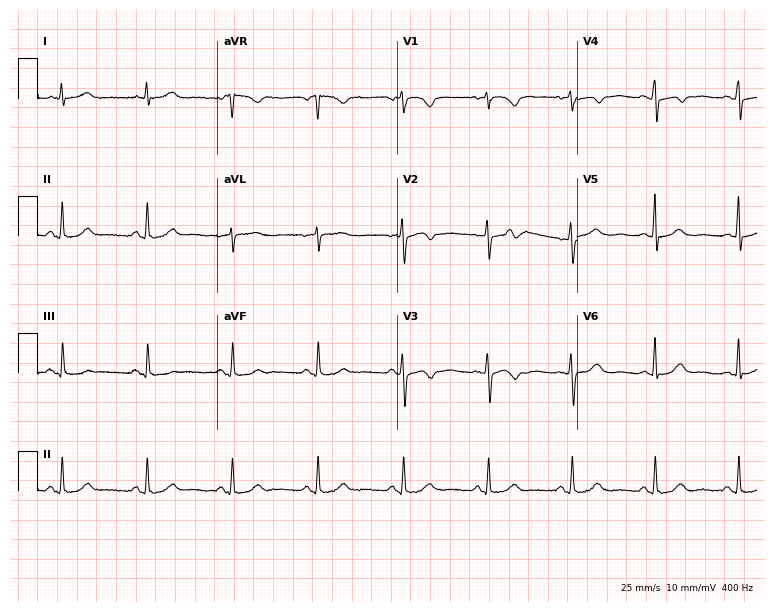
12-lead ECG (7.3-second recording at 400 Hz) from a female, 55 years old. Labelled as a normal ECG.